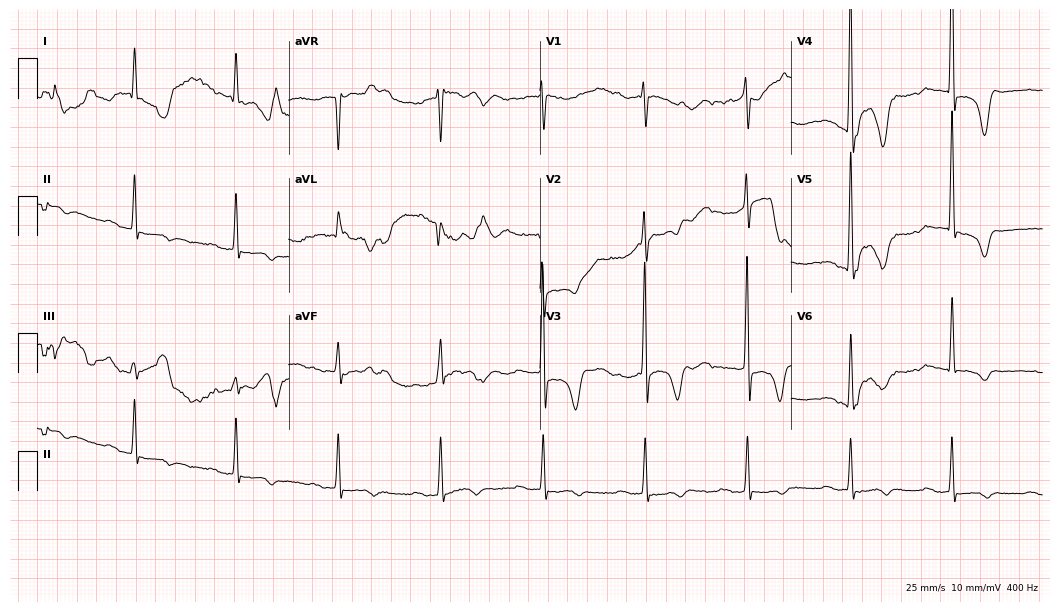
Electrocardiogram (10.2-second recording at 400 Hz), a female patient, 84 years old. Of the six screened findings (first-degree AV block, right bundle branch block, left bundle branch block, sinus bradycardia, atrial fibrillation, sinus tachycardia), none is recorded.